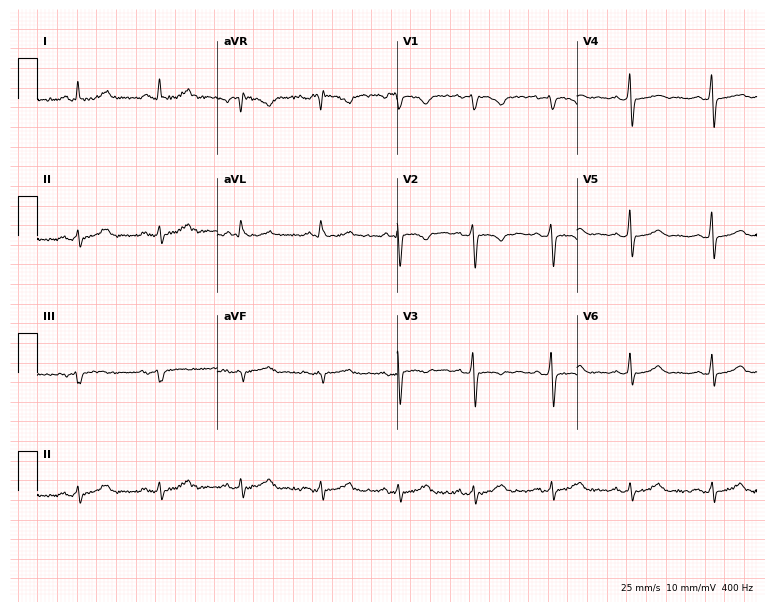
12-lead ECG (7.3-second recording at 400 Hz) from a female, 43 years old. Screened for six findings — first-degree AV block, right bundle branch block, left bundle branch block, sinus bradycardia, atrial fibrillation, sinus tachycardia — none is recorded.